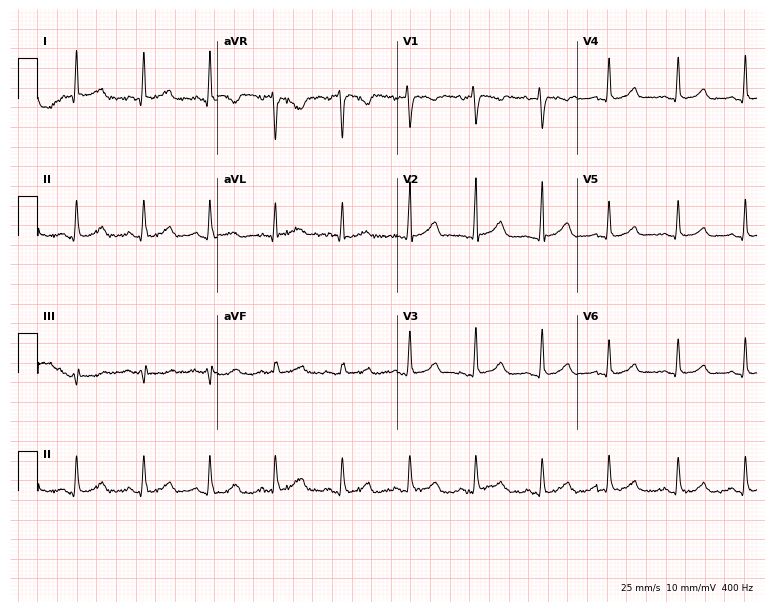
12-lead ECG (7.3-second recording at 400 Hz) from a 32-year-old female patient. Labelled as a normal ECG.